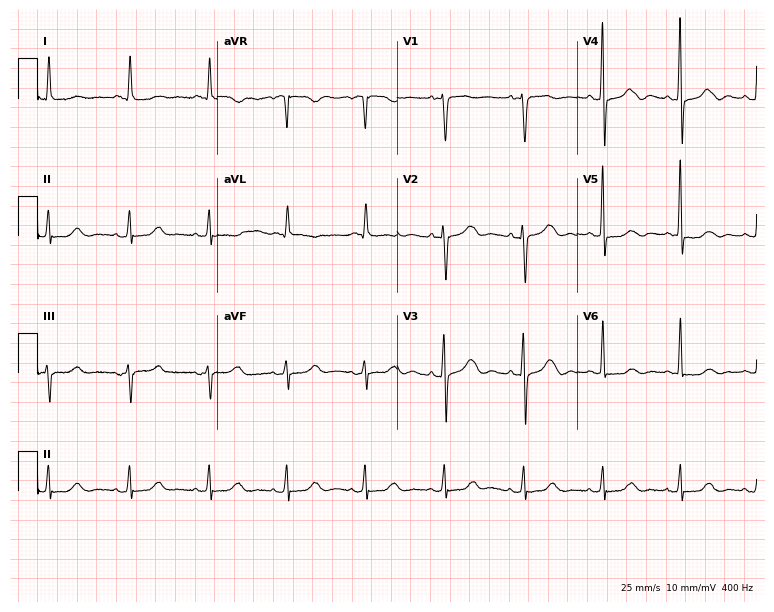
ECG — a woman, 81 years old. Labelled as a normal ECG.